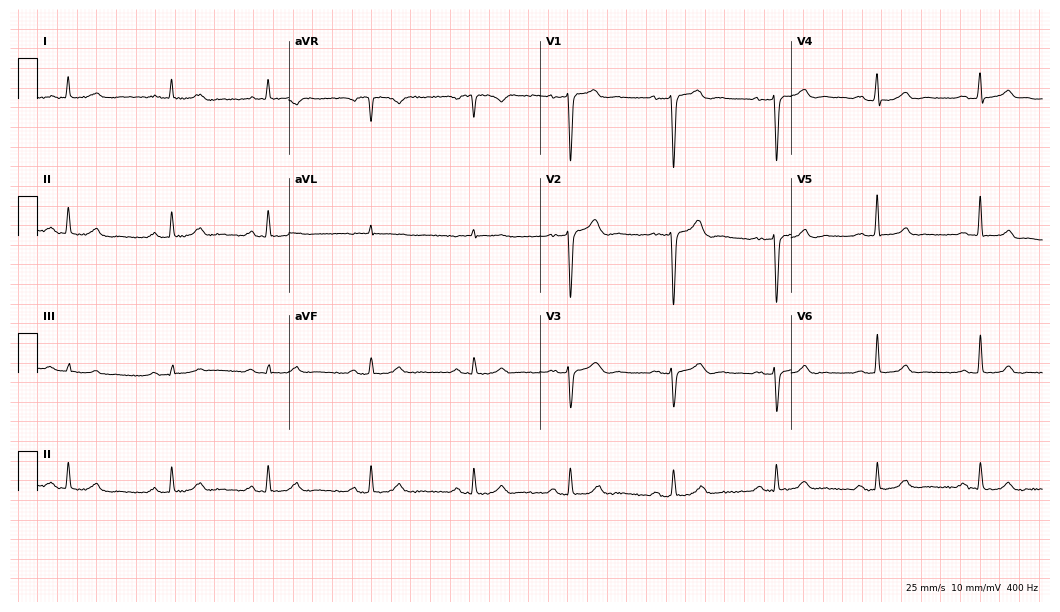
Standard 12-lead ECG recorded from a male patient, 36 years old (10.2-second recording at 400 Hz). Read as a normal ECG.